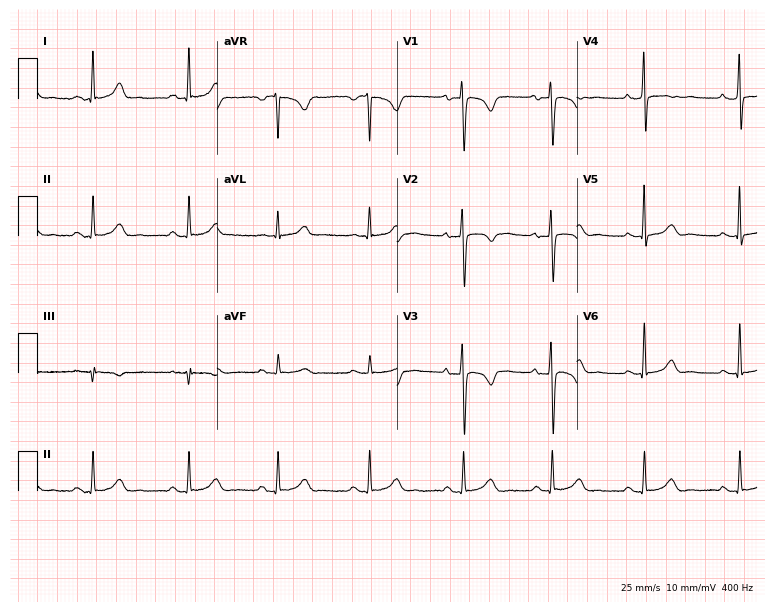
Standard 12-lead ECG recorded from a 32-year-old female. None of these six findings is recorded: first-degree AV block, right bundle branch block (RBBB), left bundle branch block (LBBB), sinus bradycardia, atrial fibrillation (AF), sinus tachycardia.